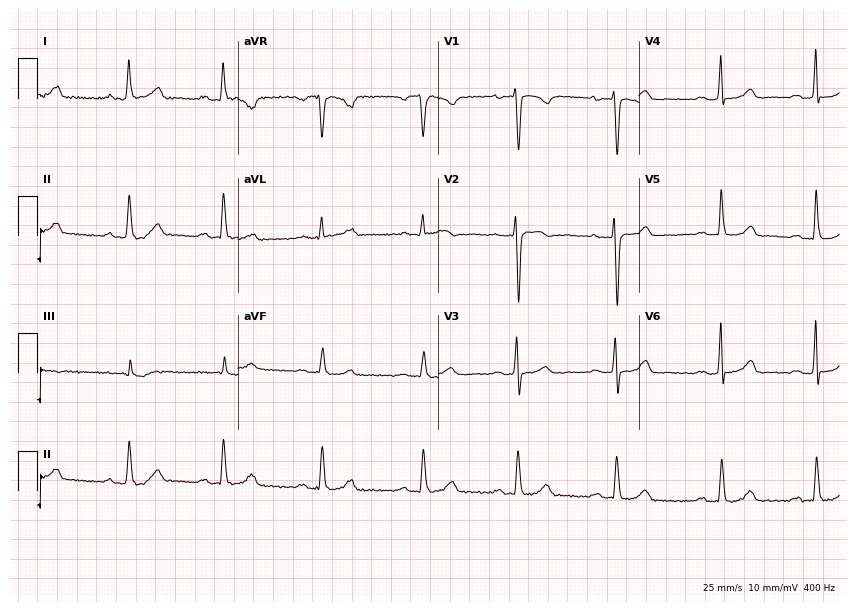
Resting 12-lead electrocardiogram. Patient: a female, 32 years old. Read as a normal ECG.